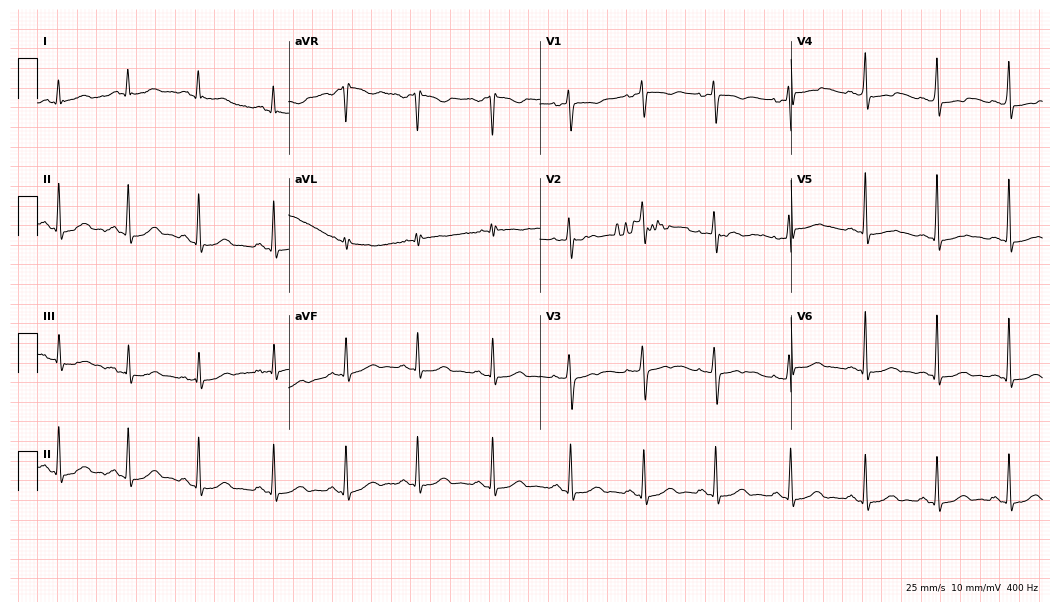
12-lead ECG (10.2-second recording at 400 Hz) from a female, 27 years old. Labelled as a normal ECG.